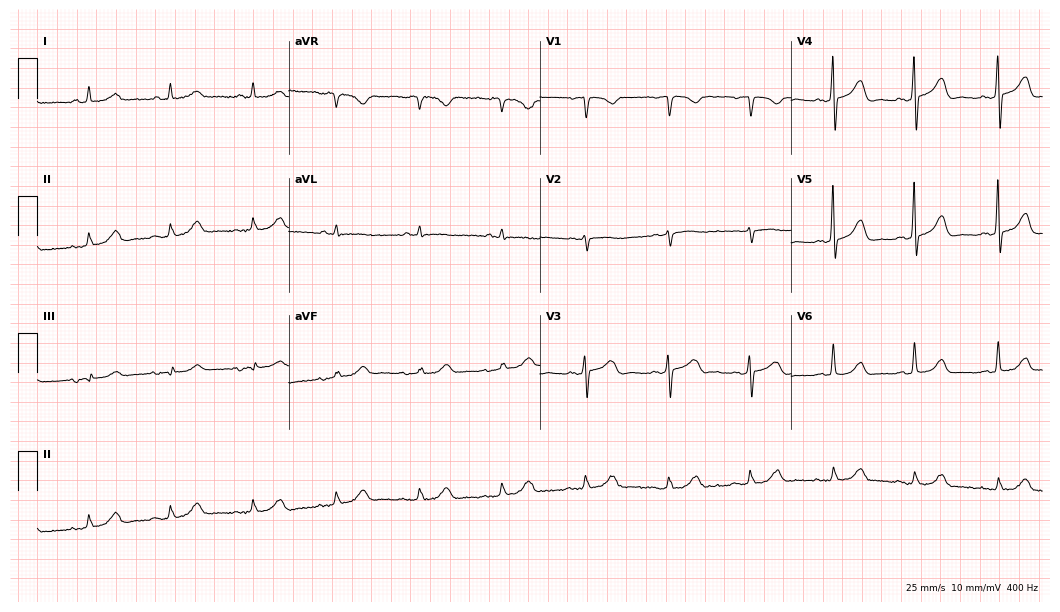
Standard 12-lead ECG recorded from a woman, 74 years old. None of these six findings is recorded: first-degree AV block, right bundle branch block, left bundle branch block, sinus bradycardia, atrial fibrillation, sinus tachycardia.